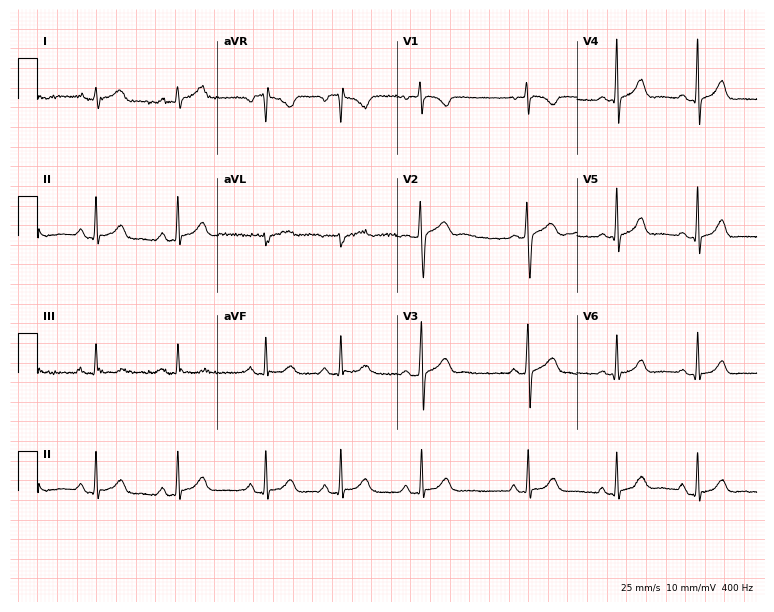
Resting 12-lead electrocardiogram (7.3-second recording at 400 Hz). Patient: a female, 18 years old. Read as a normal ECG.